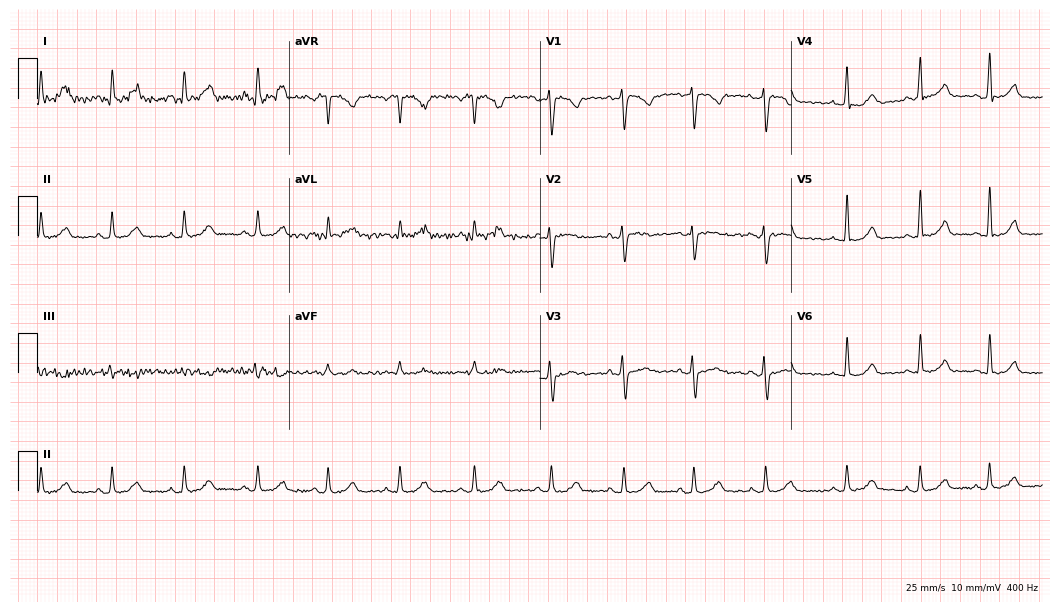
Electrocardiogram, a woman, 24 years old. Overall reading on record: normal ECG.